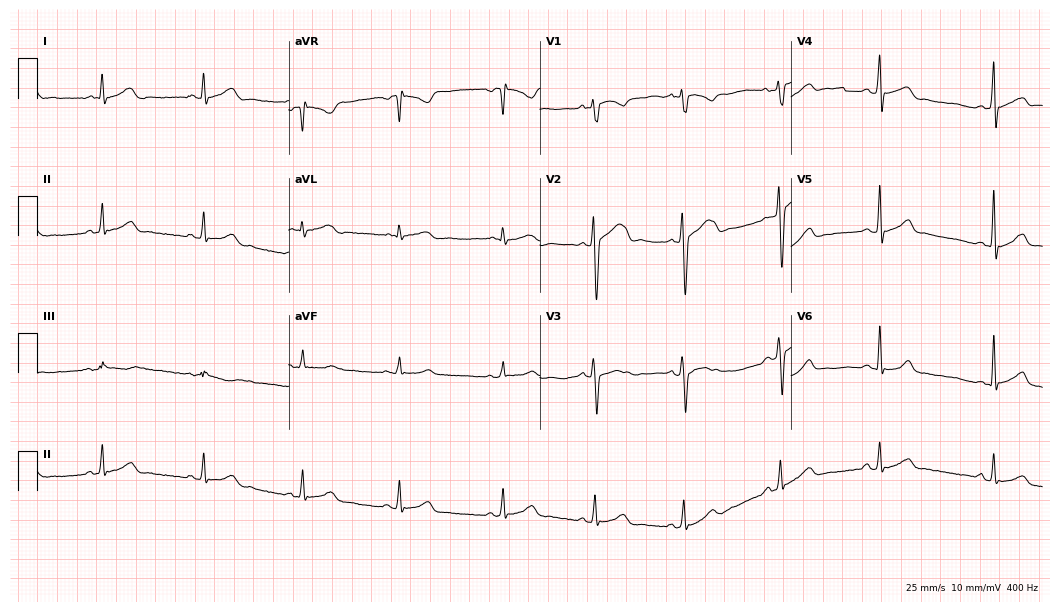
ECG (10.2-second recording at 400 Hz) — a male, 32 years old. Labelled as a normal ECG.